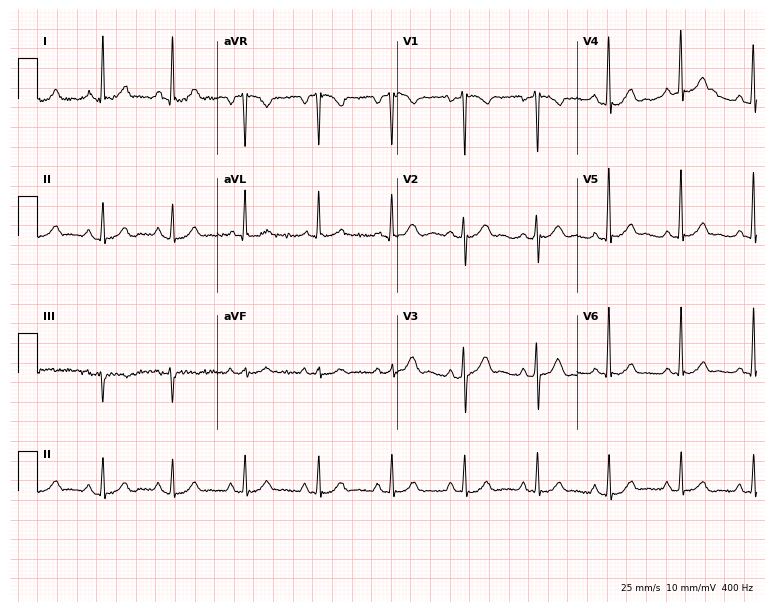
Standard 12-lead ECG recorded from a man, 37 years old (7.3-second recording at 400 Hz). None of these six findings is recorded: first-degree AV block, right bundle branch block, left bundle branch block, sinus bradycardia, atrial fibrillation, sinus tachycardia.